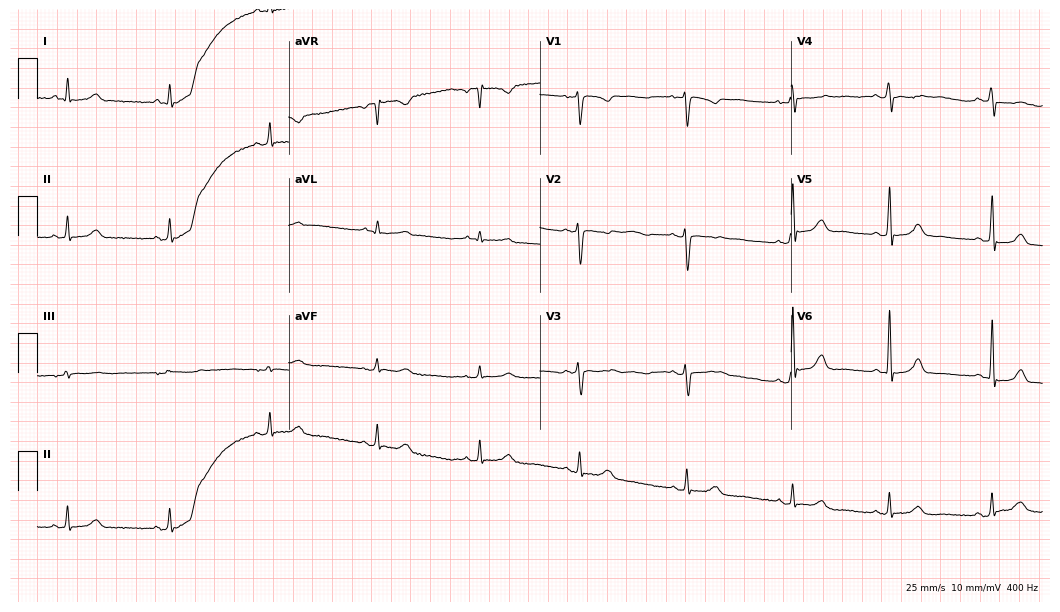
ECG (10.2-second recording at 400 Hz) — a female patient, 52 years old. Labelled as a normal ECG.